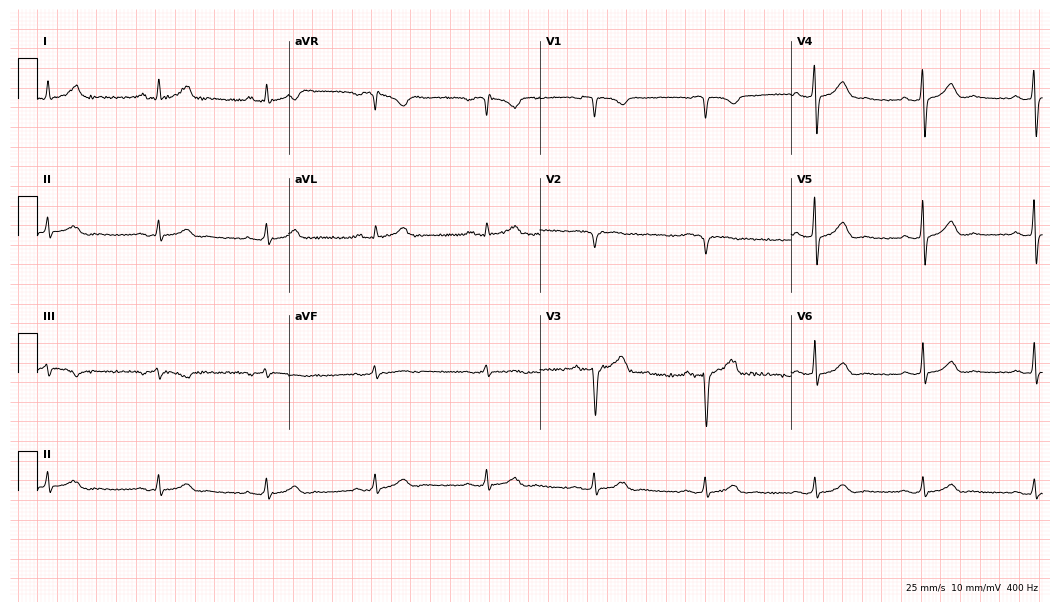
Electrocardiogram (10.2-second recording at 400 Hz), a man, 68 years old. Of the six screened findings (first-degree AV block, right bundle branch block, left bundle branch block, sinus bradycardia, atrial fibrillation, sinus tachycardia), none is recorded.